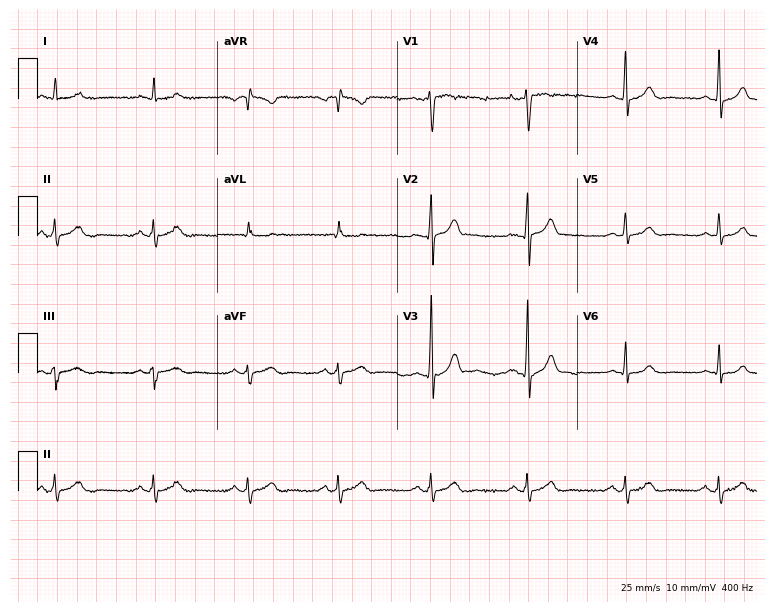
Electrocardiogram (7.3-second recording at 400 Hz), a male, 39 years old. Overall reading on record: normal ECG.